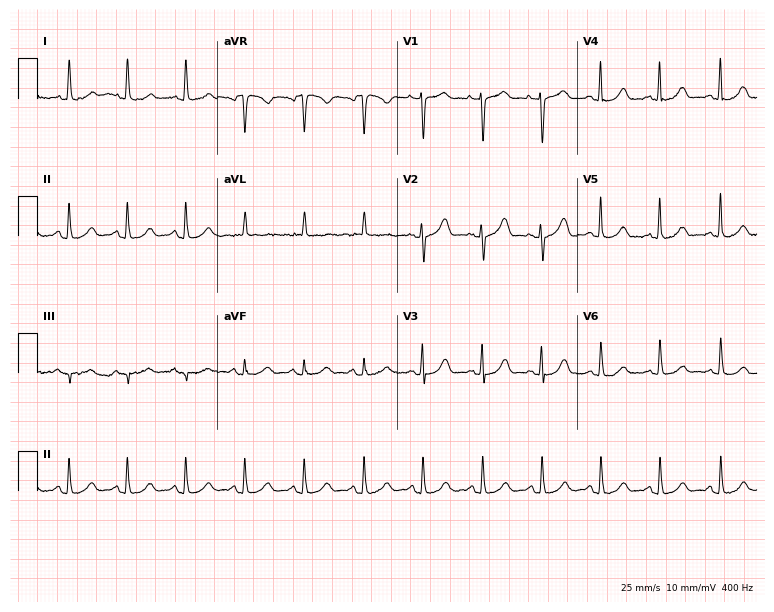
12-lead ECG (7.3-second recording at 400 Hz) from a female, 74 years old. Screened for six findings — first-degree AV block, right bundle branch block (RBBB), left bundle branch block (LBBB), sinus bradycardia, atrial fibrillation (AF), sinus tachycardia — none is recorded. Findings outside these six are not listed.